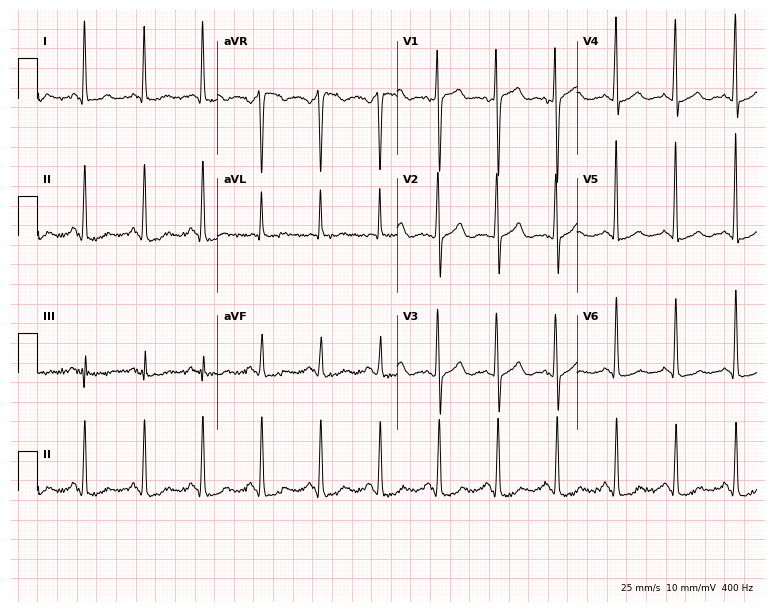
ECG — a 69-year-old female patient. Screened for six findings — first-degree AV block, right bundle branch block (RBBB), left bundle branch block (LBBB), sinus bradycardia, atrial fibrillation (AF), sinus tachycardia — none is recorded.